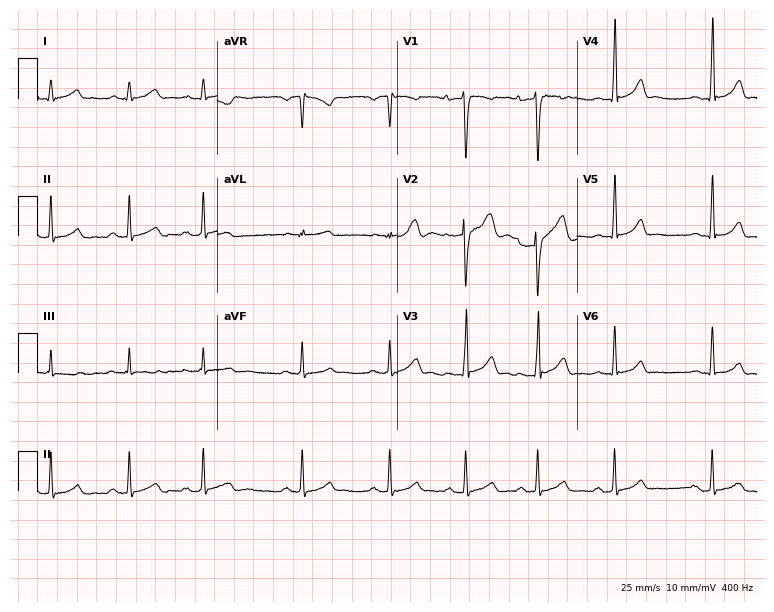
ECG (7.3-second recording at 400 Hz) — a male patient, 21 years old. Labelled as a normal ECG.